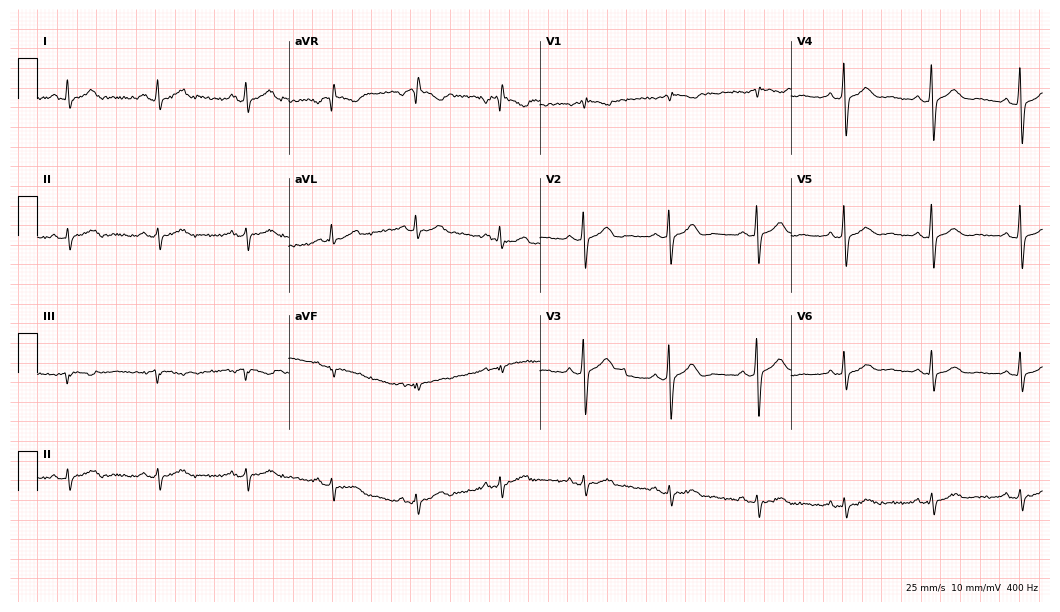
12-lead ECG (10.2-second recording at 400 Hz) from a 62-year-old male patient. Screened for six findings — first-degree AV block, right bundle branch block, left bundle branch block, sinus bradycardia, atrial fibrillation, sinus tachycardia — none is recorded. Other findings, if any, are not listed.